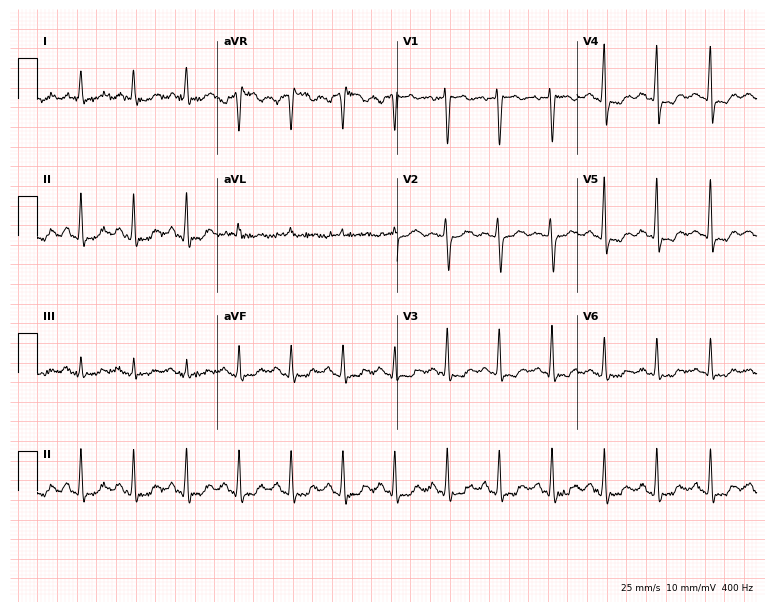
Resting 12-lead electrocardiogram. Patient: a female, 53 years old. None of these six findings is recorded: first-degree AV block, right bundle branch block, left bundle branch block, sinus bradycardia, atrial fibrillation, sinus tachycardia.